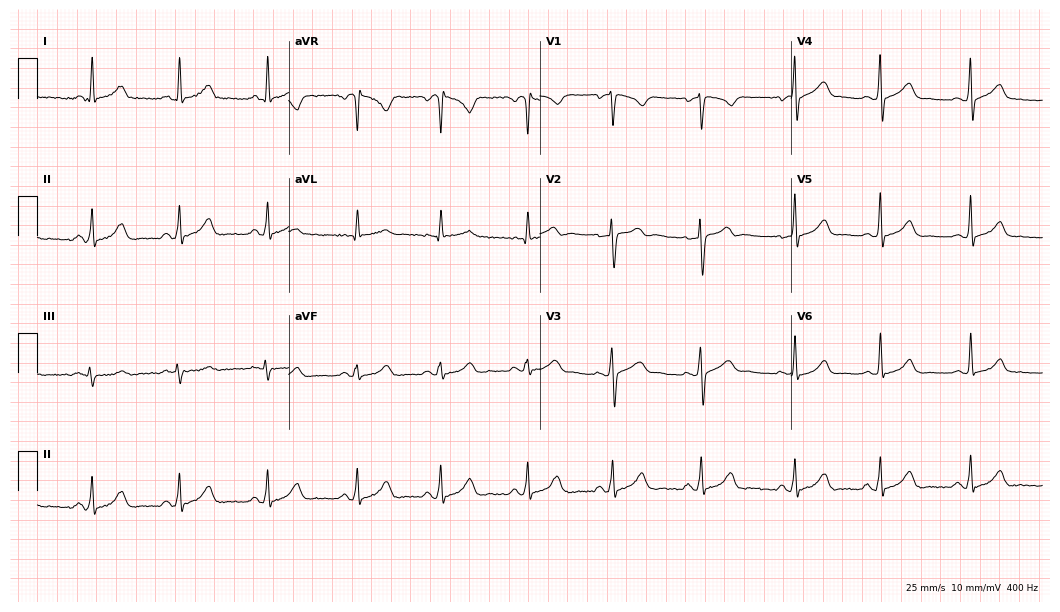
Electrocardiogram (10.2-second recording at 400 Hz), a female patient, 37 years old. Overall reading on record: normal ECG.